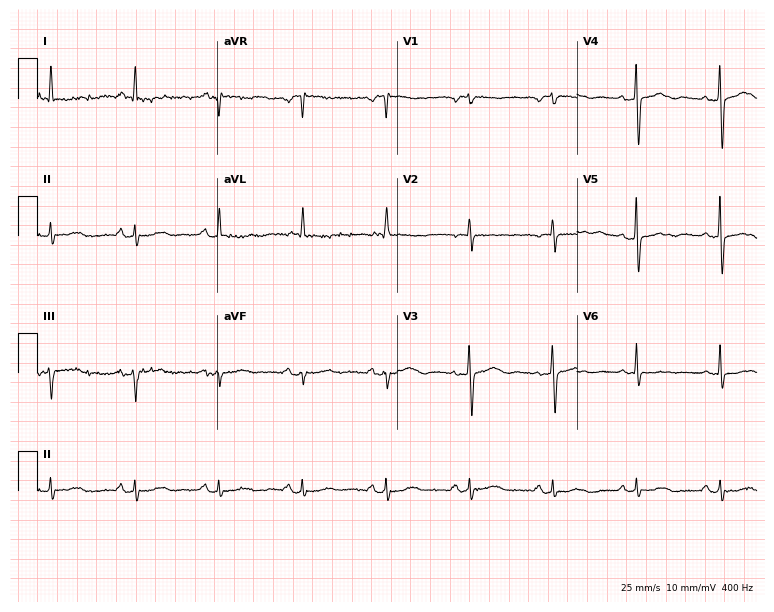
12-lead ECG from a female patient, 83 years old. Labelled as a normal ECG.